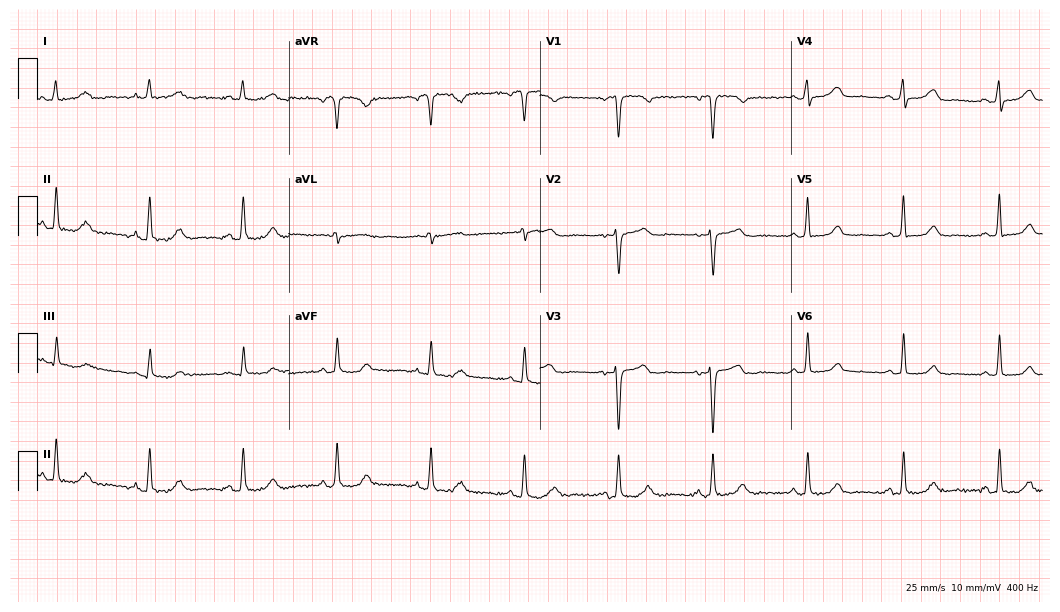
Resting 12-lead electrocardiogram (10.2-second recording at 400 Hz). Patient: a woman, 26 years old. Read as a normal ECG.